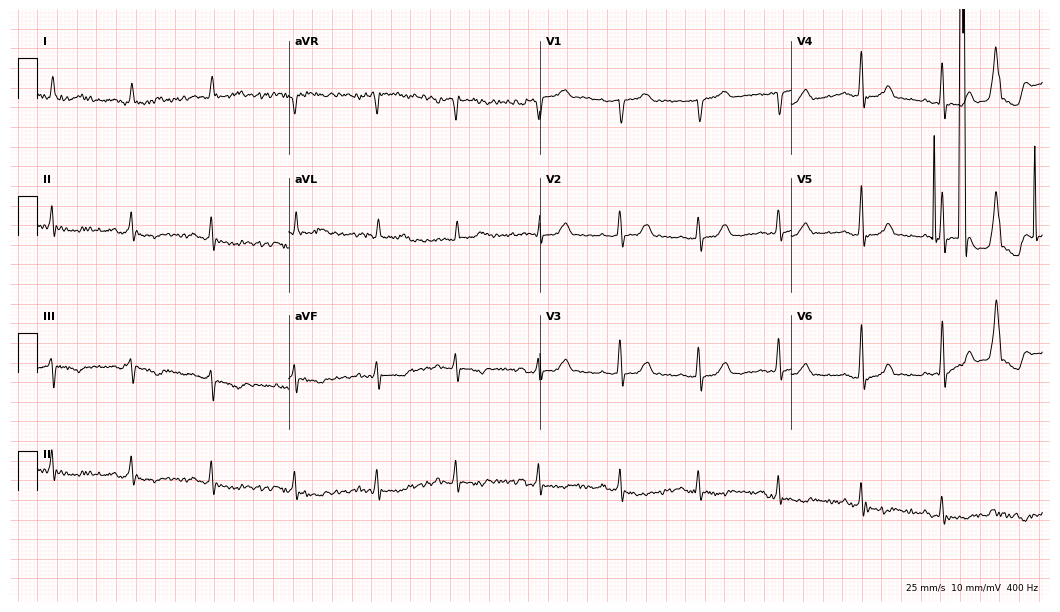
12-lead ECG (10.2-second recording at 400 Hz) from a 74-year-old male patient. Screened for six findings — first-degree AV block, right bundle branch block, left bundle branch block, sinus bradycardia, atrial fibrillation, sinus tachycardia — none is recorded. Only these six findings were labelled.